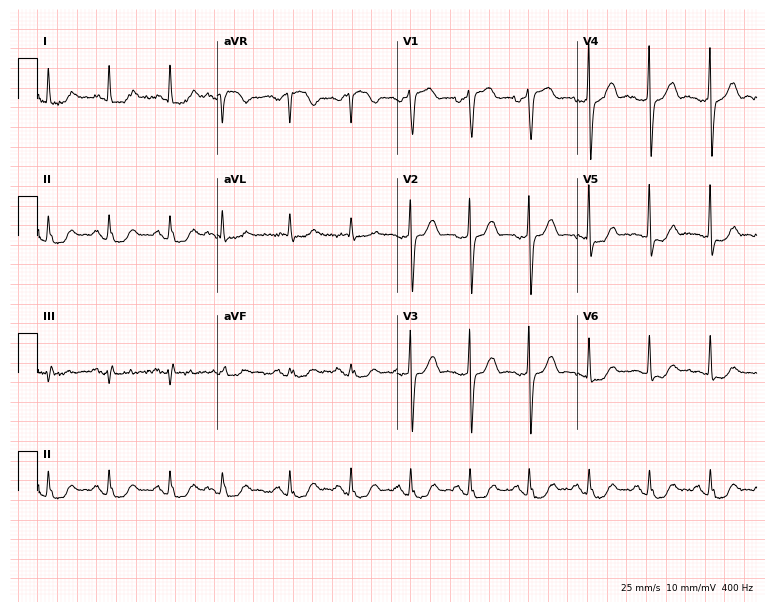
Electrocardiogram, a 62-year-old male patient. Of the six screened findings (first-degree AV block, right bundle branch block, left bundle branch block, sinus bradycardia, atrial fibrillation, sinus tachycardia), none is recorded.